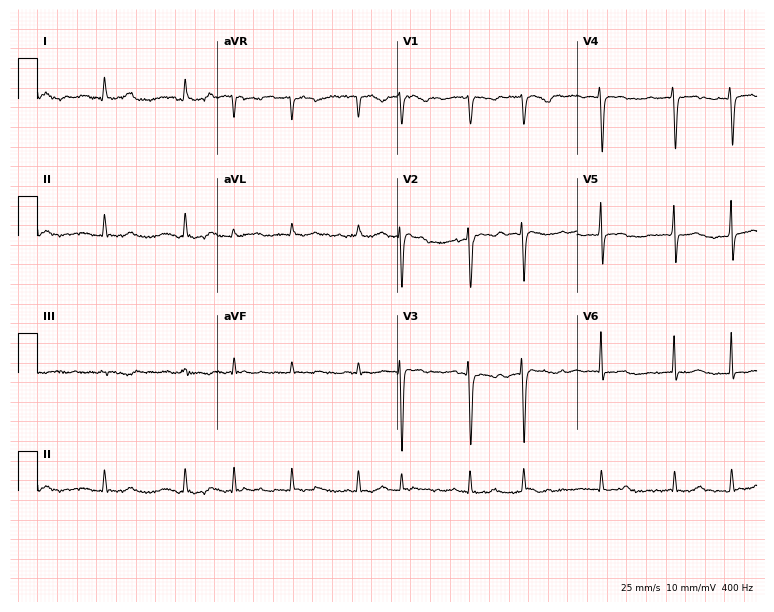
ECG (7.3-second recording at 400 Hz) — a female, 84 years old. Findings include atrial fibrillation (AF).